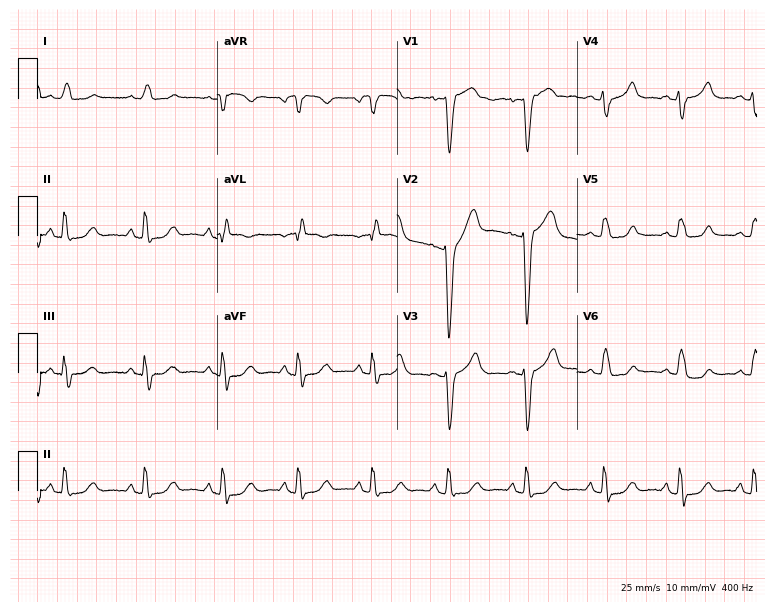
12-lead ECG from a female, 57 years old (7.3-second recording at 400 Hz). Shows left bundle branch block (LBBB).